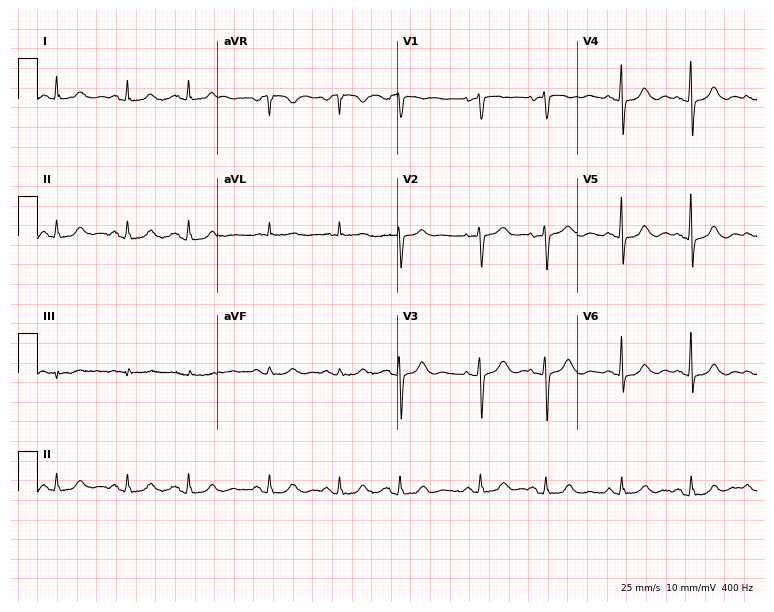
ECG — a woman, 73 years old. Screened for six findings — first-degree AV block, right bundle branch block, left bundle branch block, sinus bradycardia, atrial fibrillation, sinus tachycardia — none is recorded. Only these six findings were labelled.